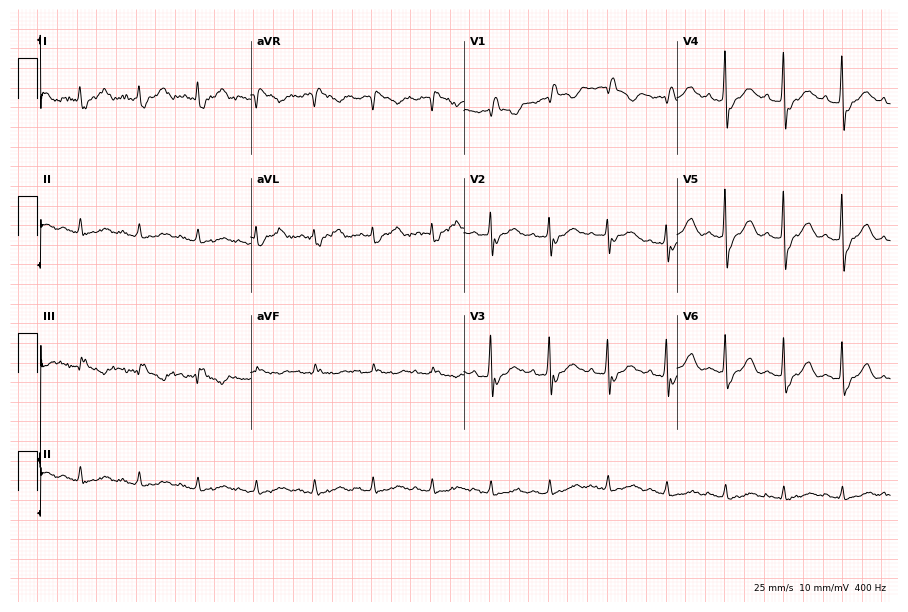
12-lead ECG from a 76-year-old male (8.7-second recording at 400 Hz). Shows right bundle branch block (RBBB).